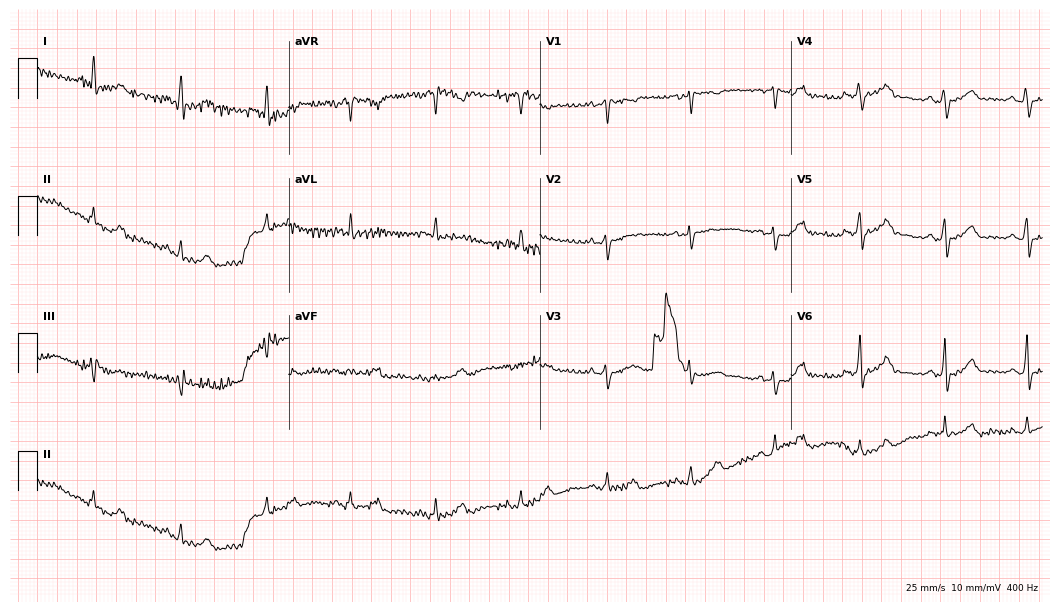
Standard 12-lead ECG recorded from a 43-year-old female patient (10.2-second recording at 400 Hz). Read as a normal ECG.